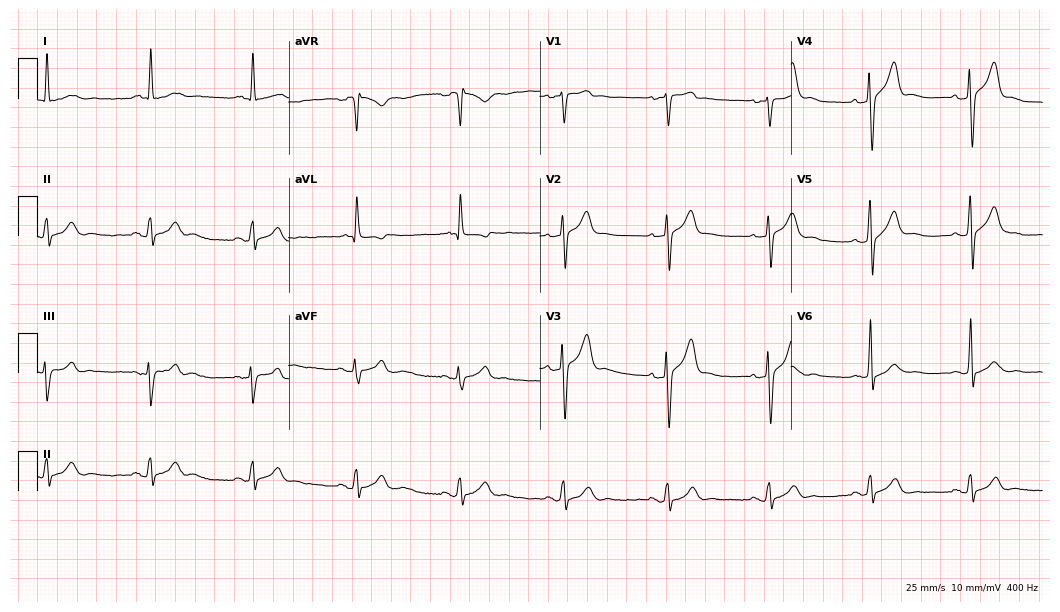
Resting 12-lead electrocardiogram. Patient: a male, 72 years old. Read as a normal ECG.